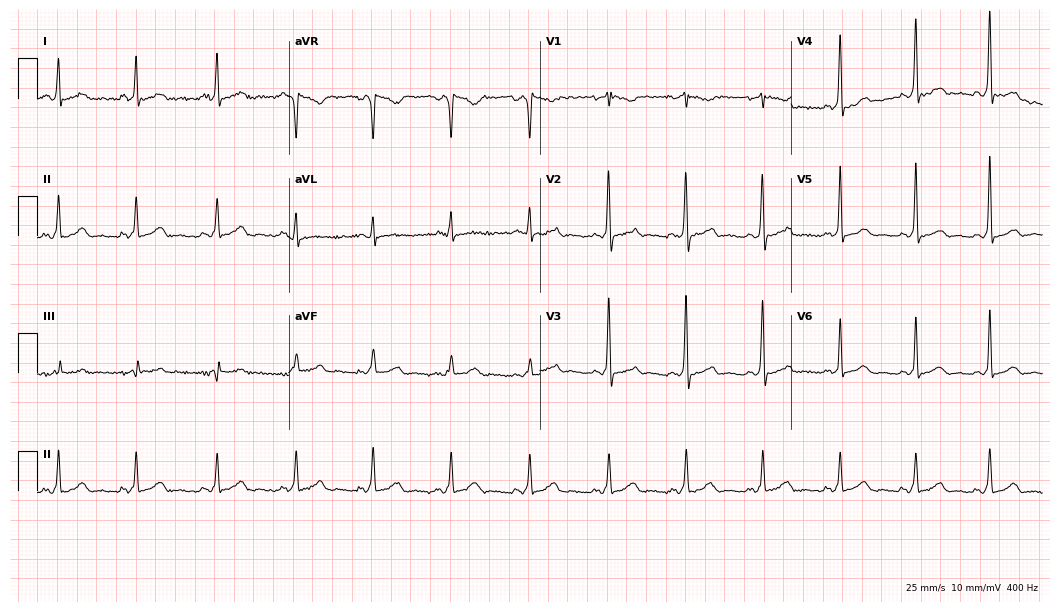
ECG — a woman, 36 years old. Screened for six findings — first-degree AV block, right bundle branch block, left bundle branch block, sinus bradycardia, atrial fibrillation, sinus tachycardia — none is recorded. Other findings, if any, are not listed.